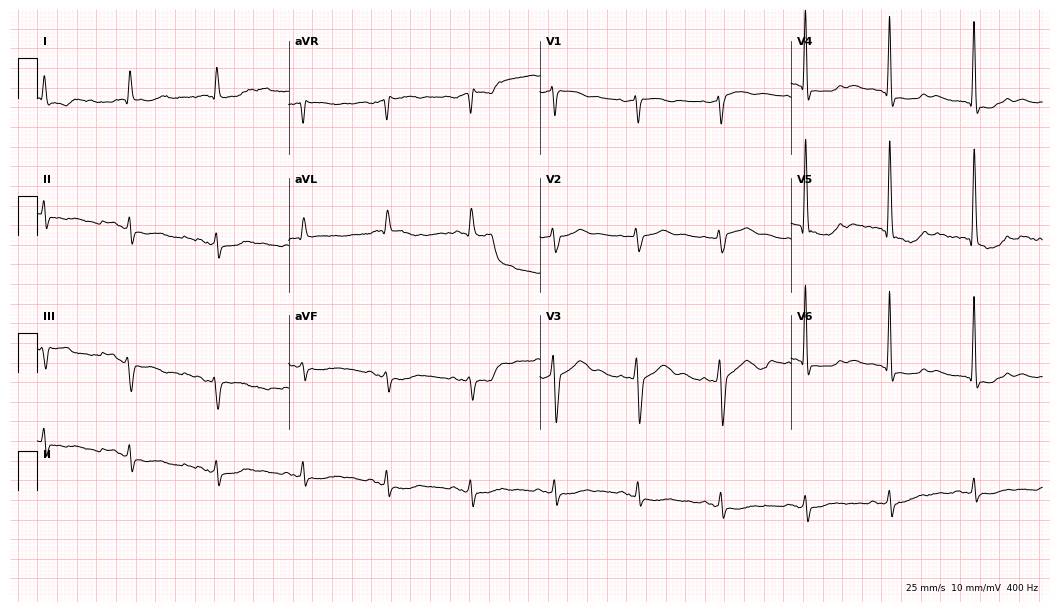
ECG (10.2-second recording at 400 Hz) — a 71-year-old man. Screened for six findings — first-degree AV block, right bundle branch block (RBBB), left bundle branch block (LBBB), sinus bradycardia, atrial fibrillation (AF), sinus tachycardia — none is recorded. Other findings, if any, are not listed.